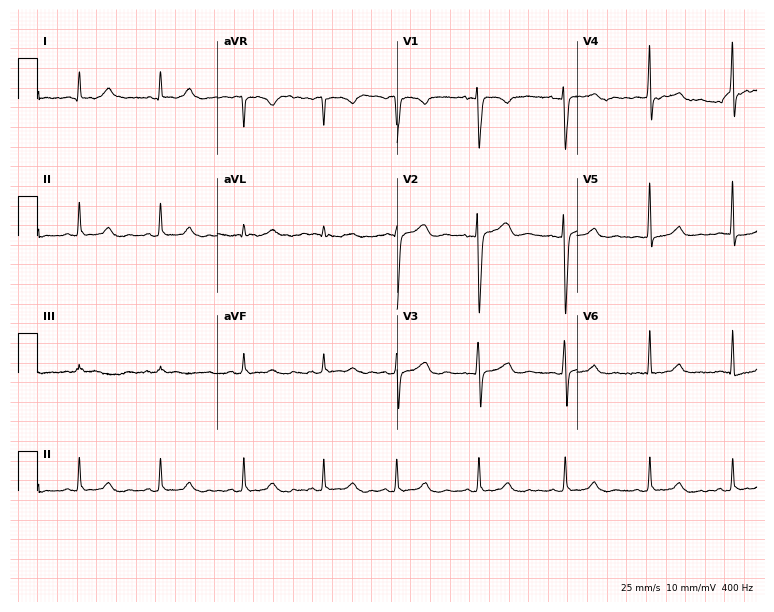
12-lead ECG from a 34-year-old woman (7.3-second recording at 400 Hz). No first-degree AV block, right bundle branch block, left bundle branch block, sinus bradycardia, atrial fibrillation or sinus tachycardia recorded for this tracing. Only these six findings were labelled.